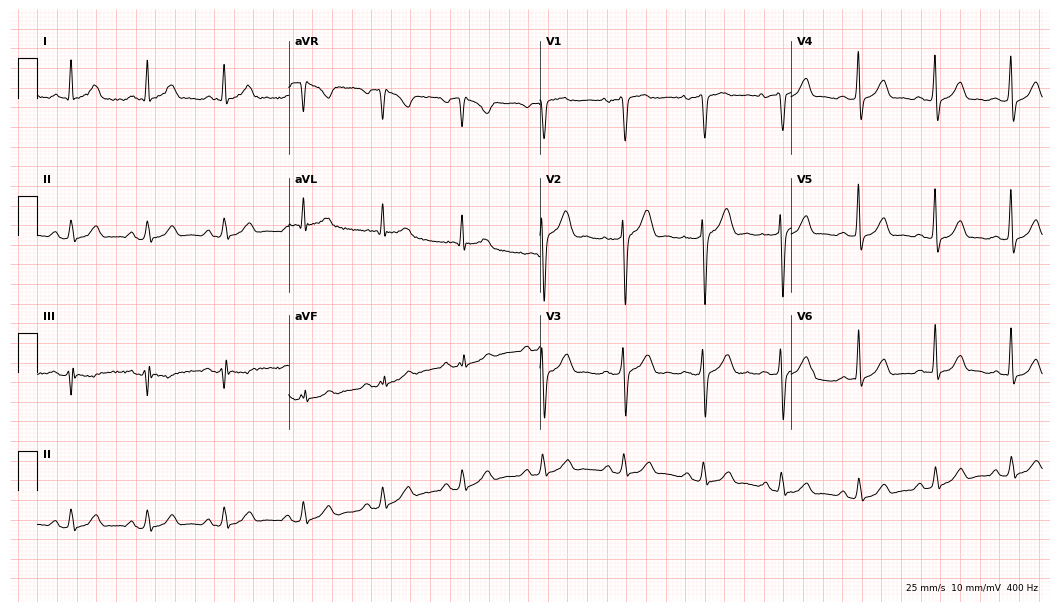
Electrocardiogram (10.2-second recording at 400 Hz), a man, 54 years old. Overall reading on record: normal ECG.